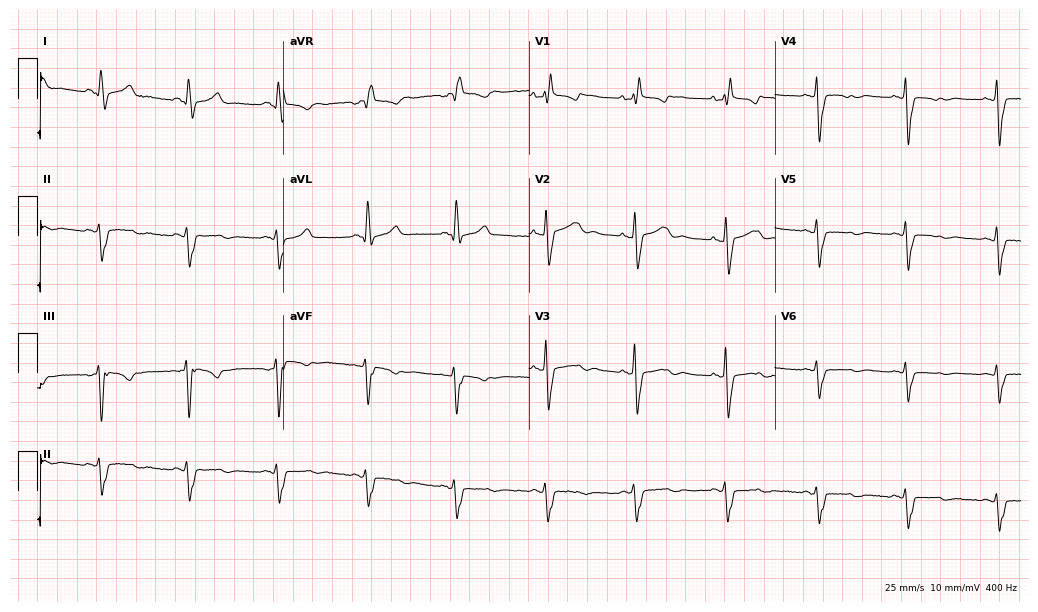
Electrocardiogram (10-second recording at 400 Hz), a 49-year-old female patient. Interpretation includes right bundle branch block (RBBB), left bundle branch block (LBBB).